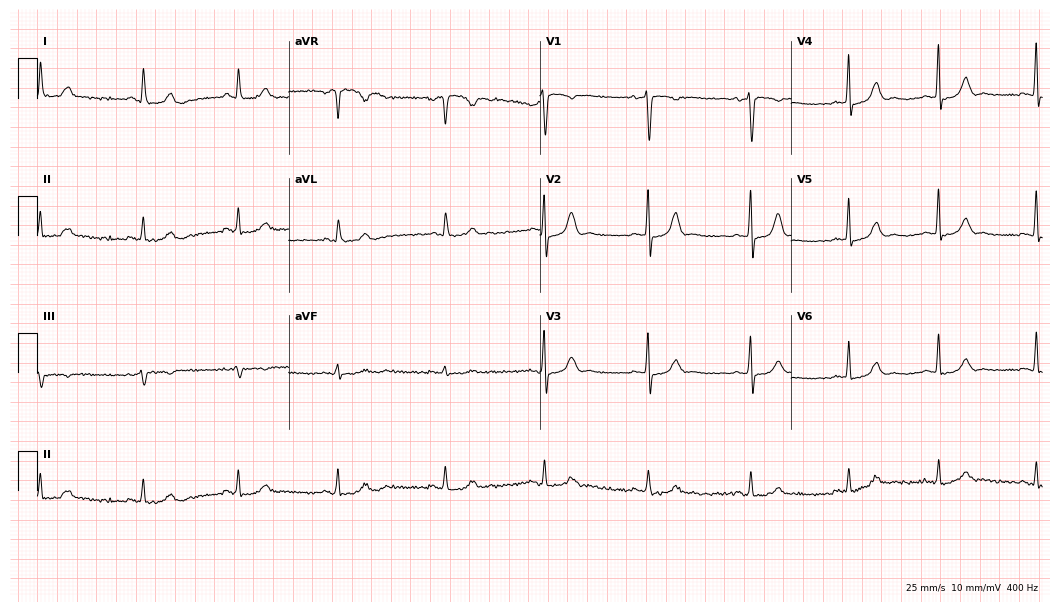
Resting 12-lead electrocardiogram. Patient: a 48-year-old female. None of these six findings is recorded: first-degree AV block, right bundle branch block, left bundle branch block, sinus bradycardia, atrial fibrillation, sinus tachycardia.